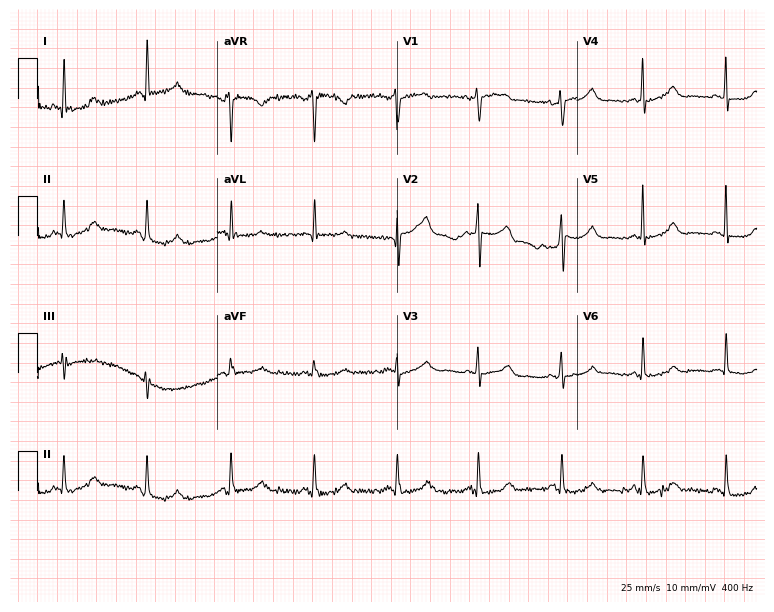
12-lead ECG from a woman, 63 years old. Recorded interpretation: within normal limits.